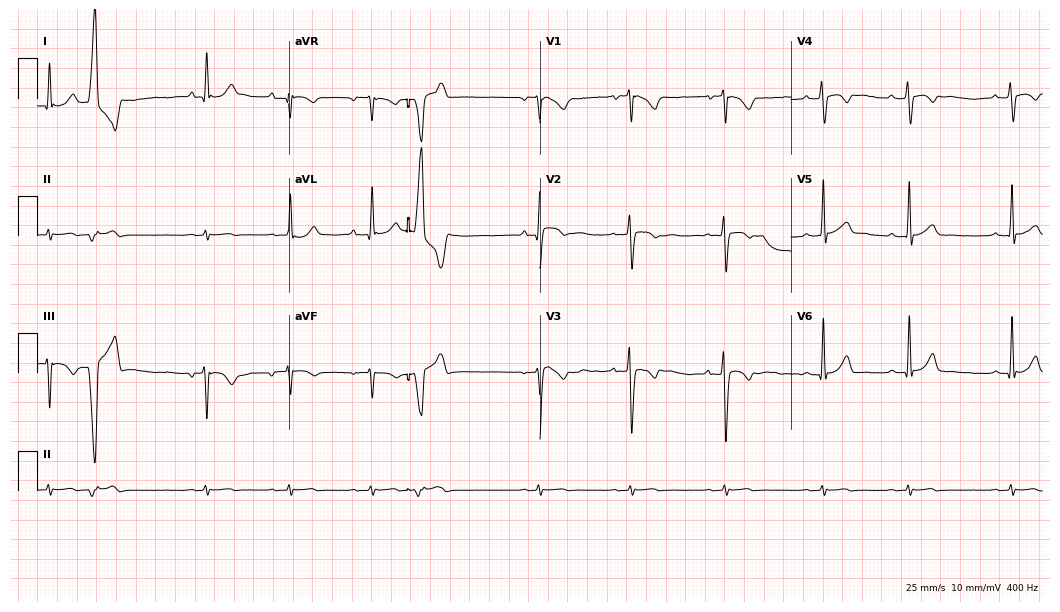
Standard 12-lead ECG recorded from an 18-year-old woman (10.2-second recording at 400 Hz). None of these six findings is recorded: first-degree AV block, right bundle branch block, left bundle branch block, sinus bradycardia, atrial fibrillation, sinus tachycardia.